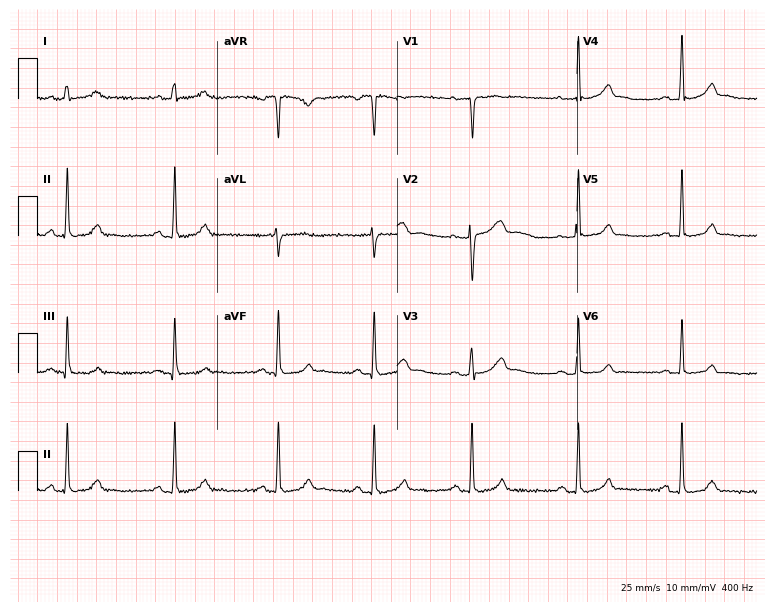
12-lead ECG from a female, 39 years old. No first-degree AV block, right bundle branch block, left bundle branch block, sinus bradycardia, atrial fibrillation or sinus tachycardia recorded for this tracing.